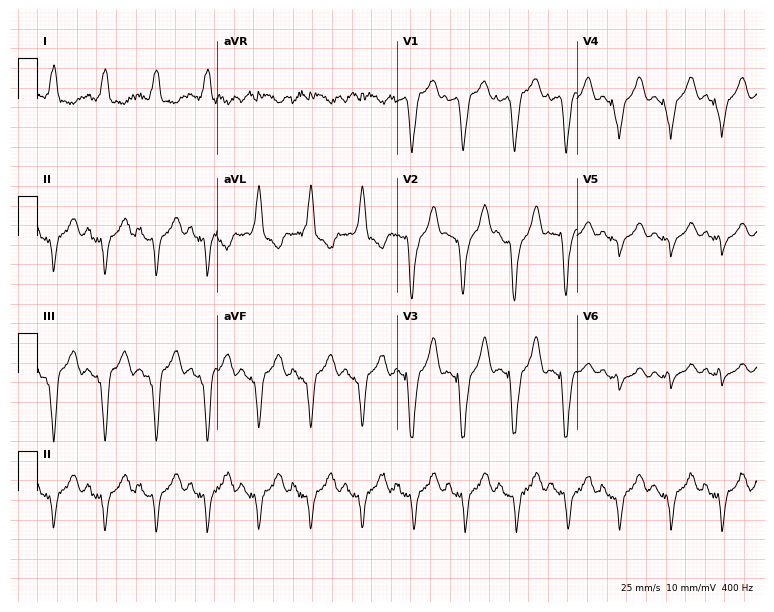
12-lead ECG from a 61-year-old woman (7.3-second recording at 400 Hz). No first-degree AV block, right bundle branch block (RBBB), left bundle branch block (LBBB), sinus bradycardia, atrial fibrillation (AF) or sinus tachycardia recorded for this tracing. Only these six findings were labelled.